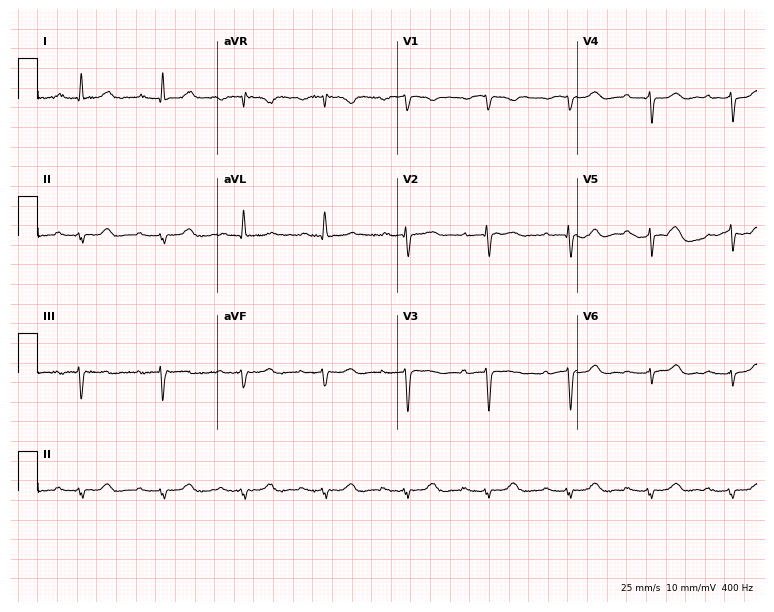
12-lead ECG from a 79-year-old female patient. Findings include first-degree AV block.